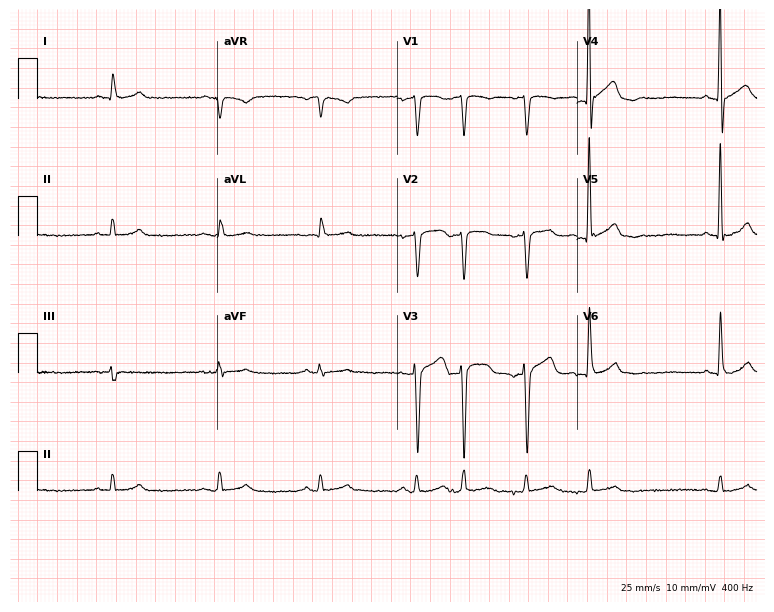
Standard 12-lead ECG recorded from a male, 82 years old (7.3-second recording at 400 Hz). Read as a normal ECG.